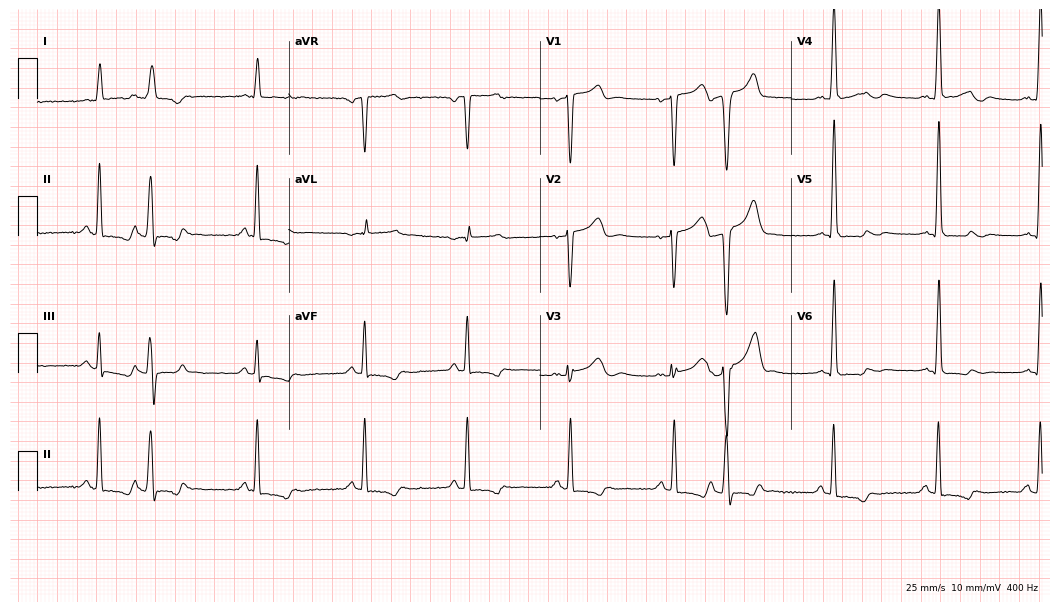
12-lead ECG from a male, 65 years old (10.2-second recording at 400 Hz). No first-degree AV block, right bundle branch block (RBBB), left bundle branch block (LBBB), sinus bradycardia, atrial fibrillation (AF) or sinus tachycardia recorded for this tracing.